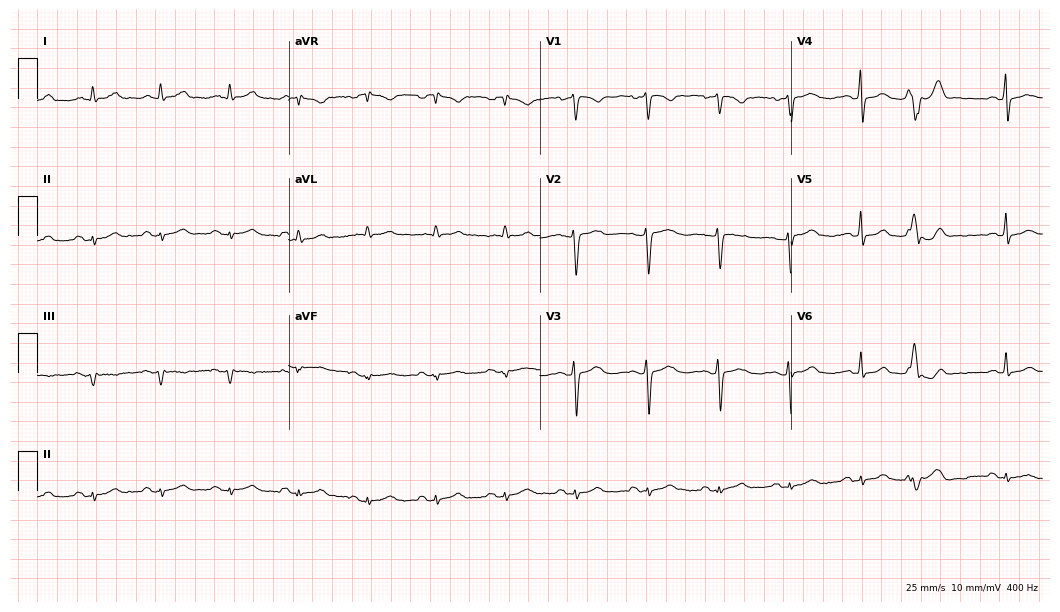
Resting 12-lead electrocardiogram. Patient: a female, 39 years old. None of these six findings is recorded: first-degree AV block, right bundle branch block (RBBB), left bundle branch block (LBBB), sinus bradycardia, atrial fibrillation (AF), sinus tachycardia. Other findings, if any, are not listed.